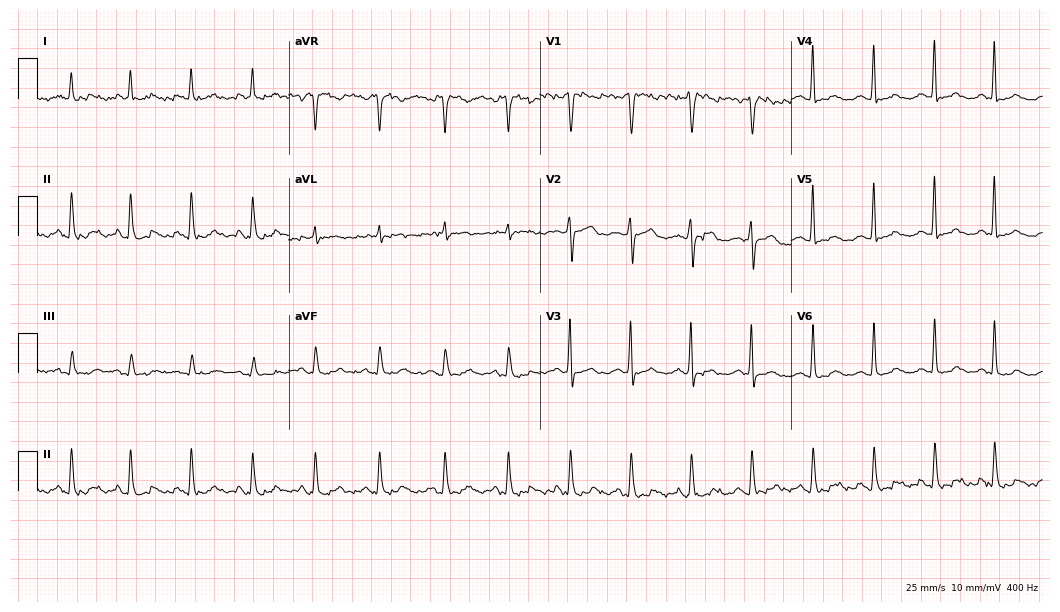
Standard 12-lead ECG recorded from a 43-year-old female. Read as a normal ECG.